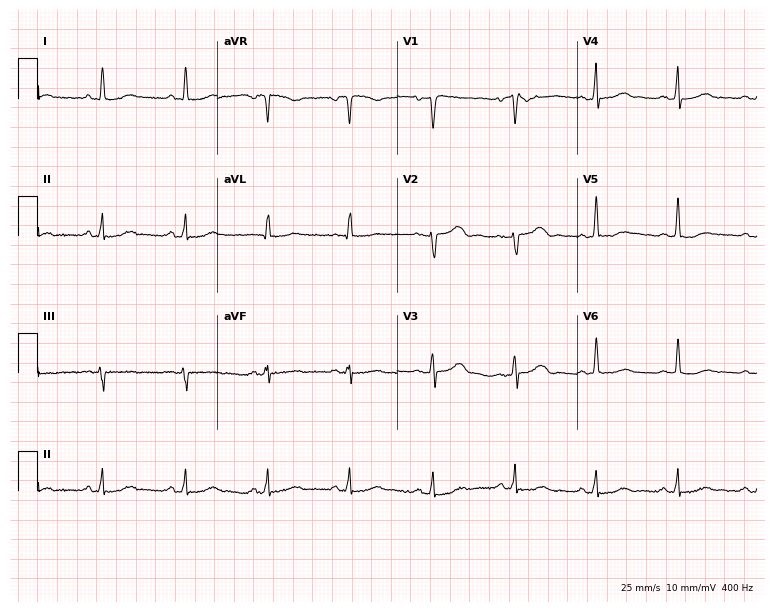
Standard 12-lead ECG recorded from a 37-year-old female patient (7.3-second recording at 400 Hz). None of these six findings is recorded: first-degree AV block, right bundle branch block, left bundle branch block, sinus bradycardia, atrial fibrillation, sinus tachycardia. Other findings, if any, are not listed.